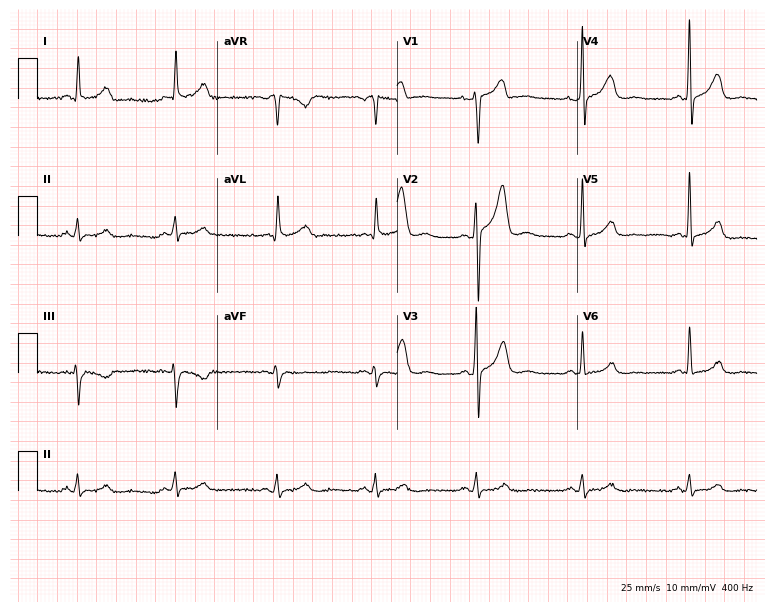
12-lead ECG from a man, 56 years old (7.3-second recording at 400 Hz). Recorded interpretation: within normal limits.